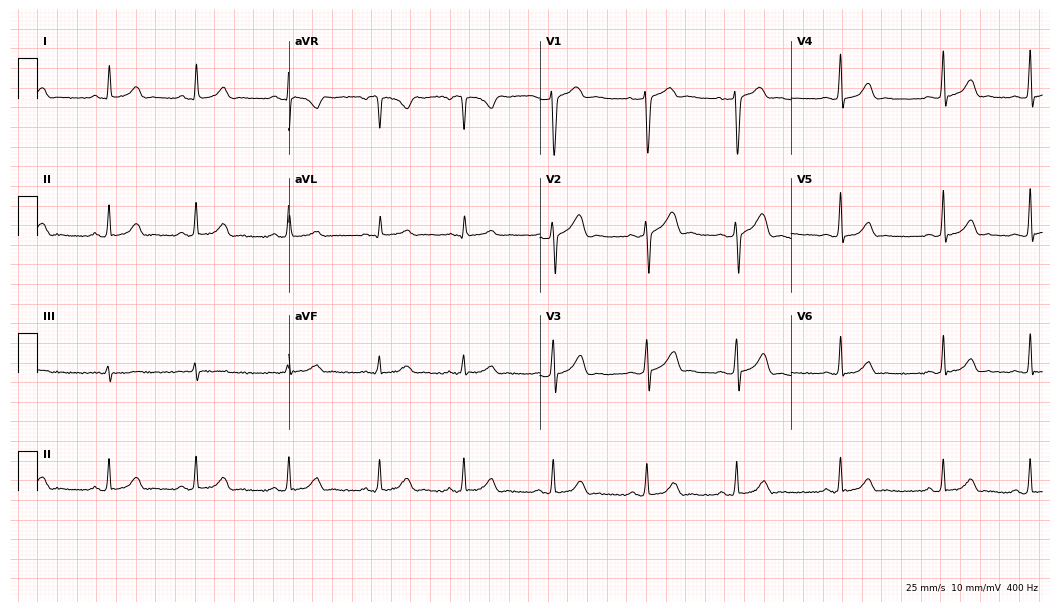
Resting 12-lead electrocardiogram (10.2-second recording at 400 Hz). Patient: a 22-year-old female. Read as a normal ECG.